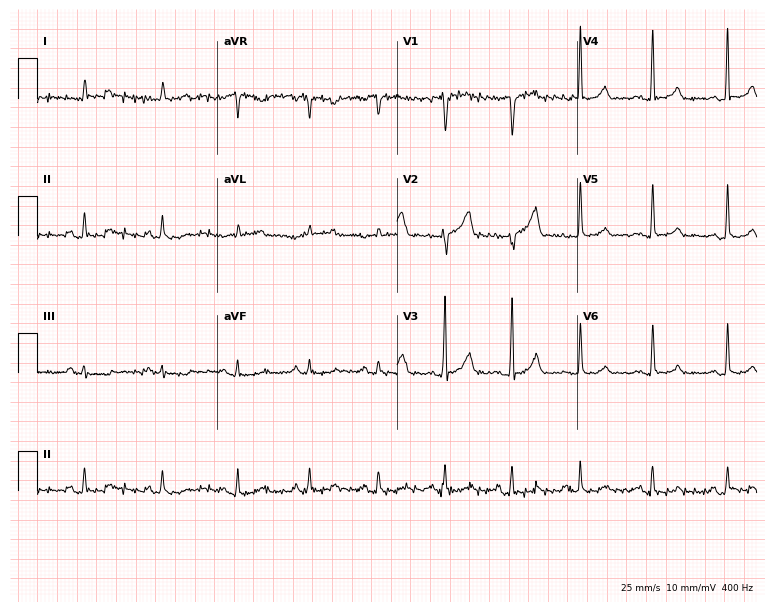
12-lead ECG (7.3-second recording at 400 Hz) from a male, 49 years old. Screened for six findings — first-degree AV block, right bundle branch block, left bundle branch block, sinus bradycardia, atrial fibrillation, sinus tachycardia — none is recorded. Other findings, if any, are not listed.